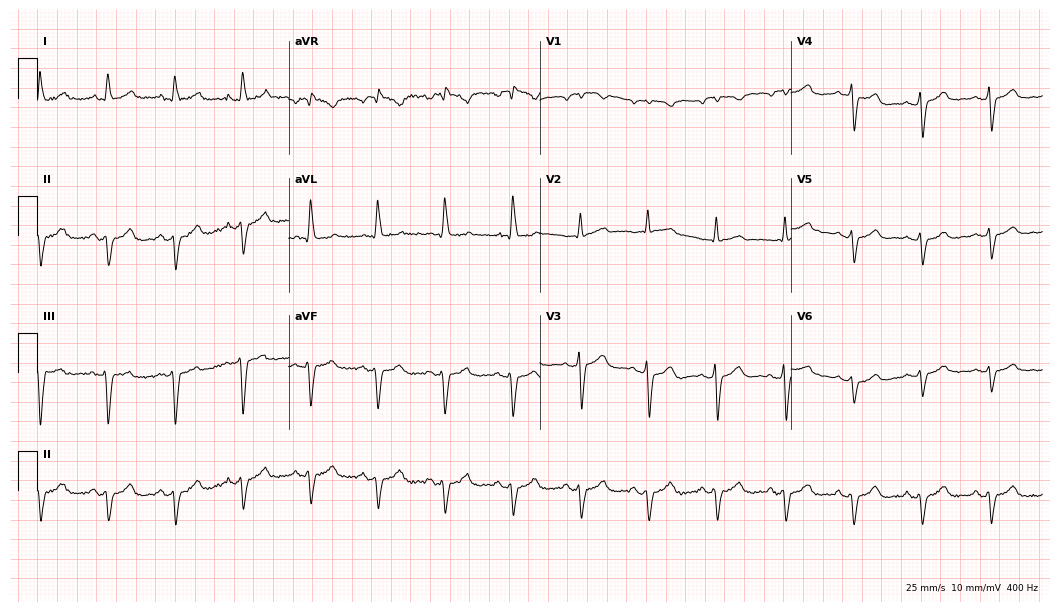
Electrocardiogram, a female patient, 53 years old. Of the six screened findings (first-degree AV block, right bundle branch block, left bundle branch block, sinus bradycardia, atrial fibrillation, sinus tachycardia), none is recorded. Other findings, if any, are not listed.